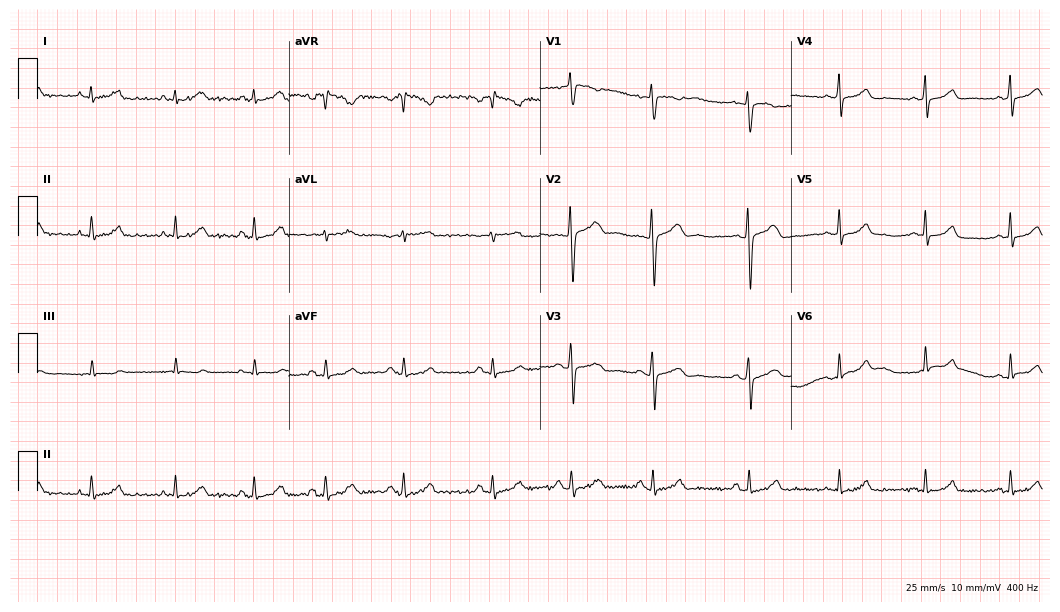
12-lead ECG from a female, 28 years old. Recorded interpretation: within normal limits.